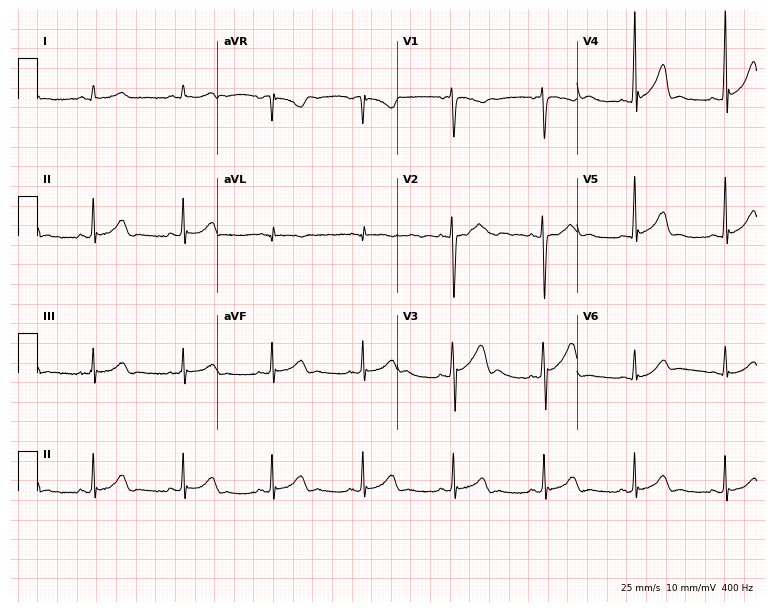
12-lead ECG from a male patient, 40 years old. Recorded interpretation: within normal limits.